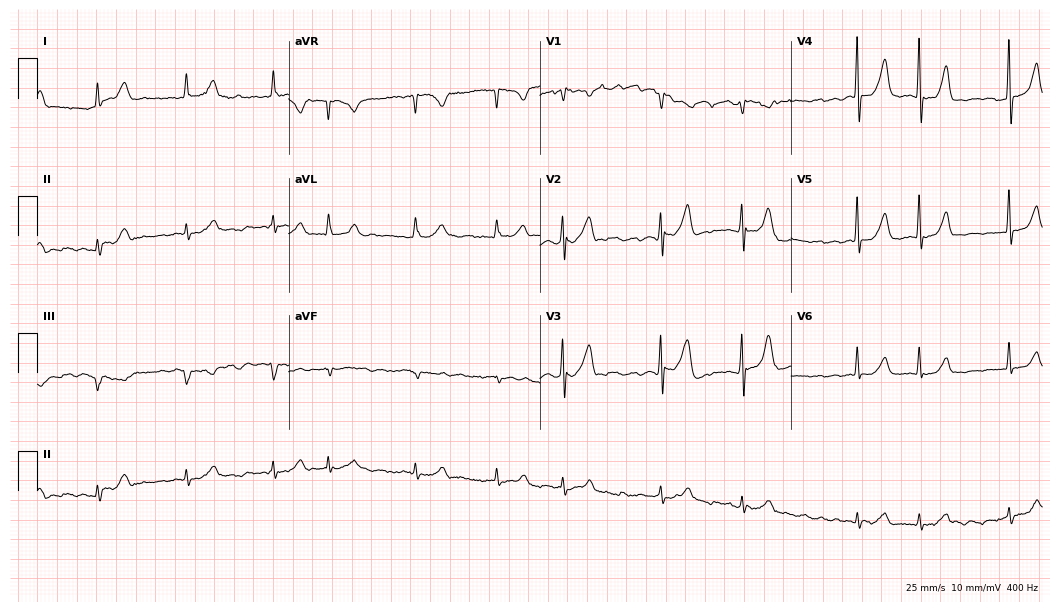
12-lead ECG from a woman, 76 years old. Screened for six findings — first-degree AV block, right bundle branch block, left bundle branch block, sinus bradycardia, atrial fibrillation, sinus tachycardia — none is recorded.